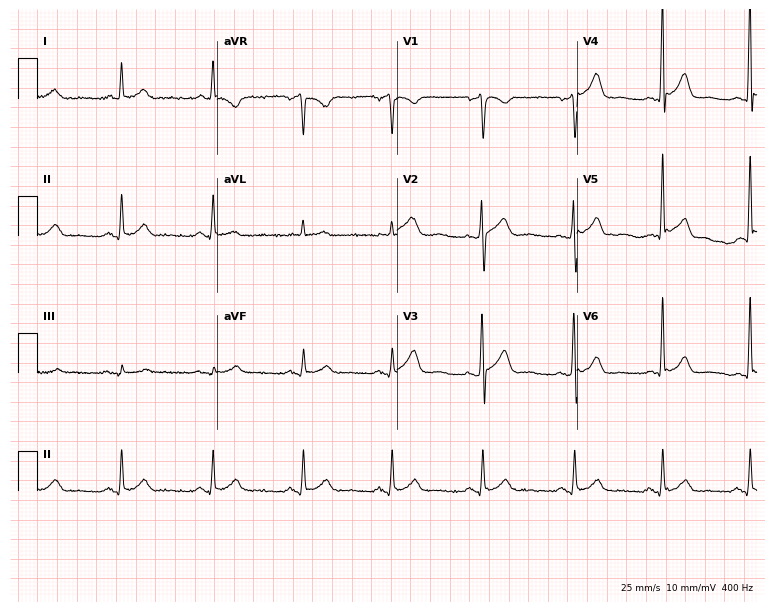
Electrocardiogram, a 67-year-old male. Of the six screened findings (first-degree AV block, right bundle branch block, left bundle branch block, sinus bradycardia, atrial fibrillation, sinus tachycardia), none is recorded.